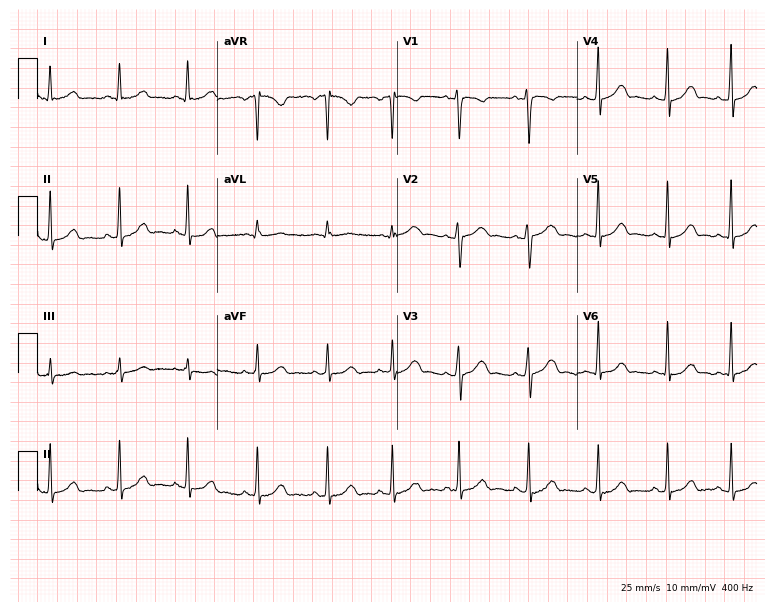
12-lead ECG (7.3-second recording at 400 Hz) from a woman, 27 years old. Labelled as a normal ECG.